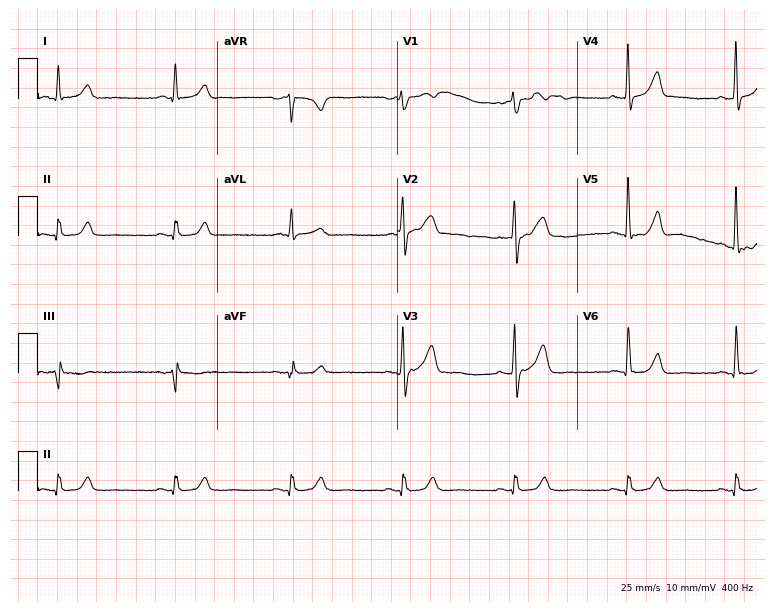
Resting 12-lead electrocardiogram (7.3-second recording at 400 Hz). Patient: a man, 57 years old. Read as a normal ECG.